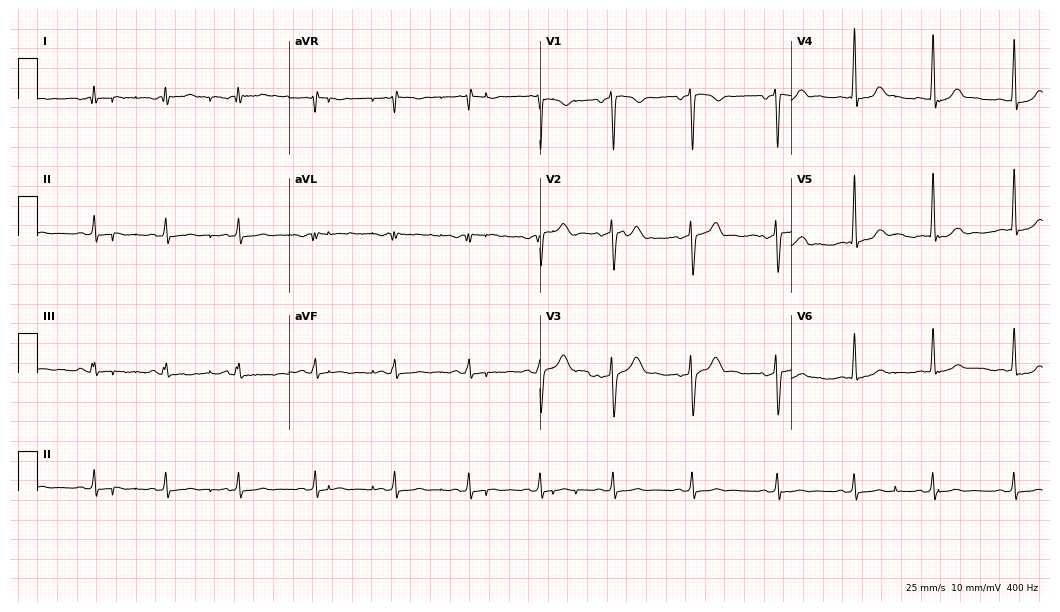
Standard 12-lead ECG recorded from a 38-year-old woman (10.2-second recording at 400 Hz). None of these six findings is recorded: first-degree AV block, right bundle branch block (RBBB), left bundle branch block (LBBB), sinus bradycardia, atrial fibrillation (AF), sinus tachycardia.